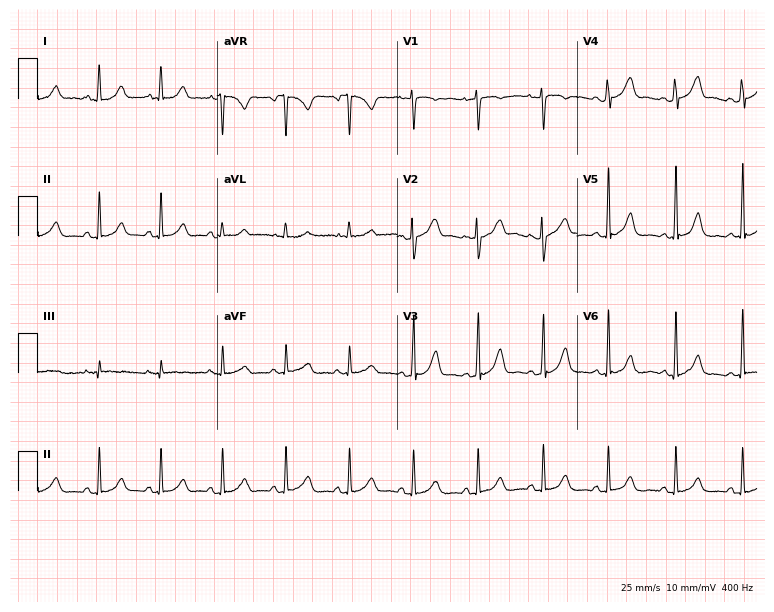
Resting 12-lead electrocardiogram. Patient: a 33-year-old woman. None of these six findings is recorded: first-degree AV block, right bundle branch block, left bundle branch block, sinus bradycardia, atrial fibrillation, sinus tachycardia.